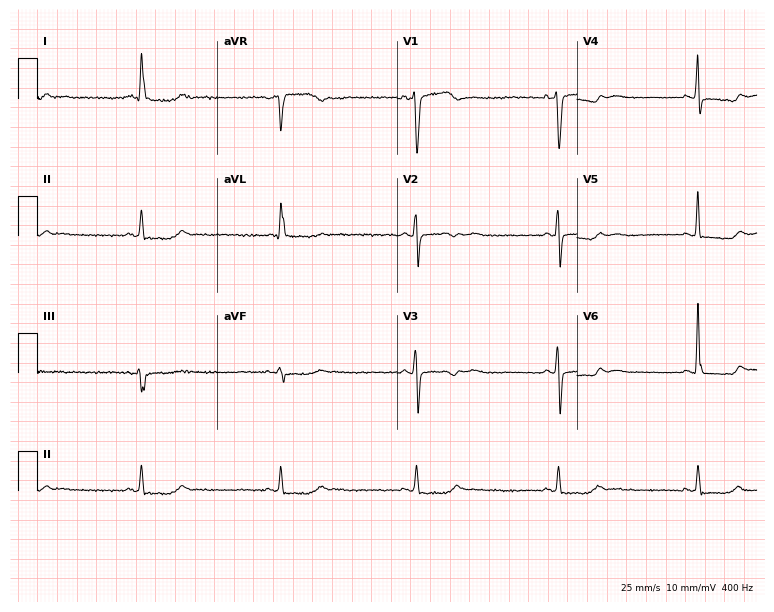
Resting 12-lead electrocardiogram (7.3-second recording at 400 Hz). Patient: a woman, 59 years old. The tracing shows sinus bradycardia (a sinus rate of 50 beats per minute or less).